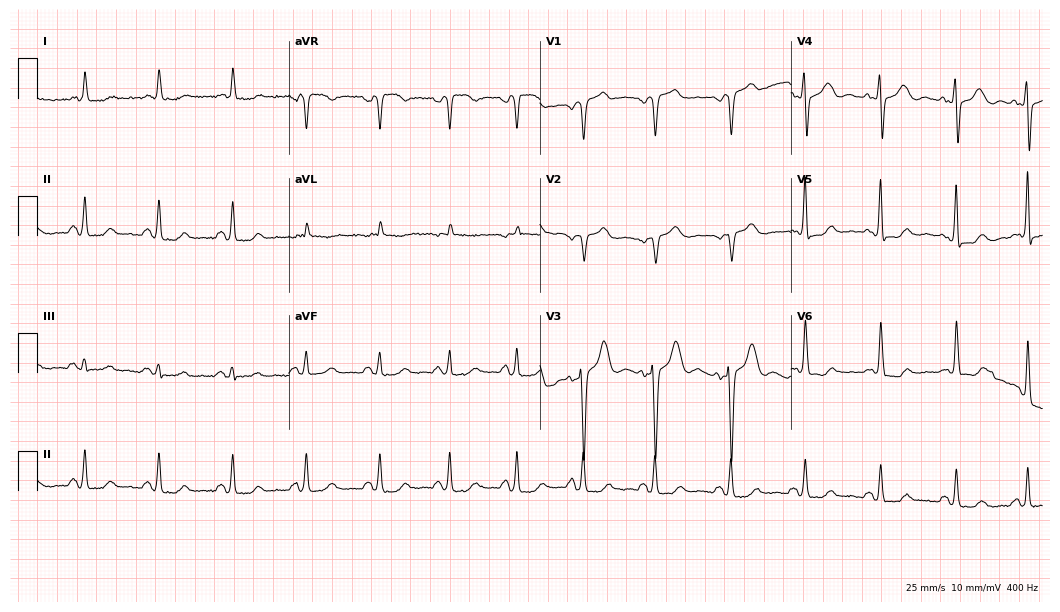
Resting 12-lead electrocardiogram. Patient: a 70-year-old woman. None of these six findings is recorded: first-degree AV block, right bundle branch block, left bundle branch block, sinus bradycardia, atrial fibrillation, sinus tachycardia. Other findings, if any, are not listed.